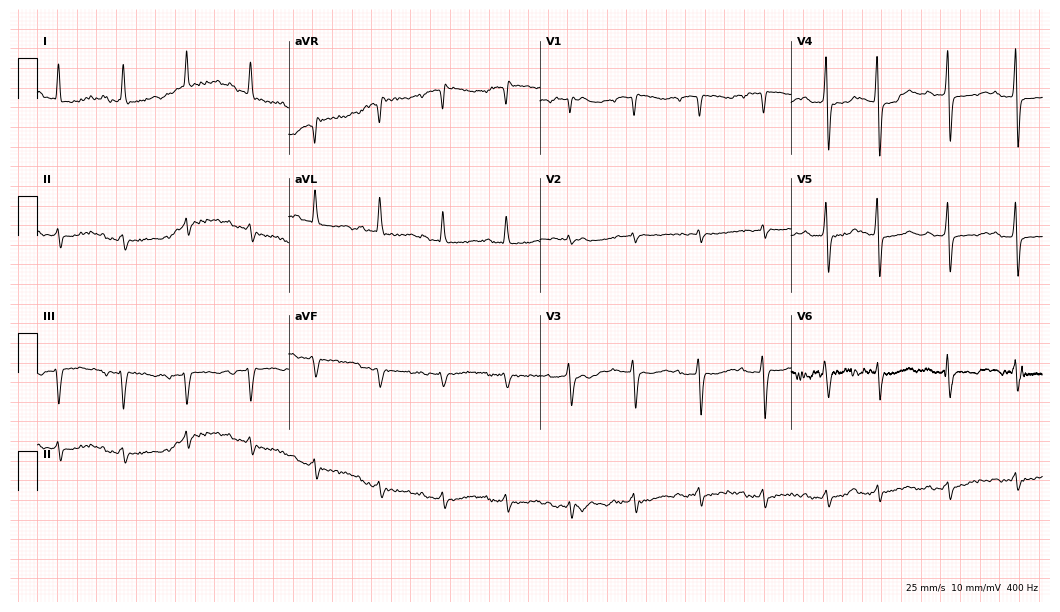
12-lead ECG from a 73-year-old male patient. Screened for six findings — first-degree AV block, right bundle branch block, left bundle branch block, sinus bradycardia, atrial fibrillation, sinus tachycardia — none is recorded.